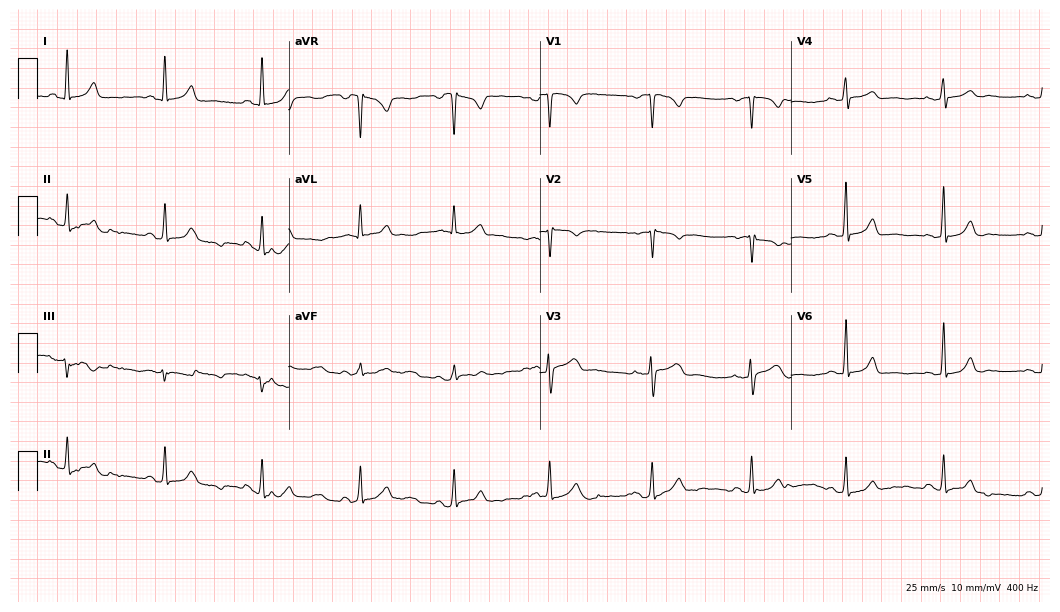
Standard 12-lead ECG recorded from a female patient, 41 years old. Read as a normal ECG.